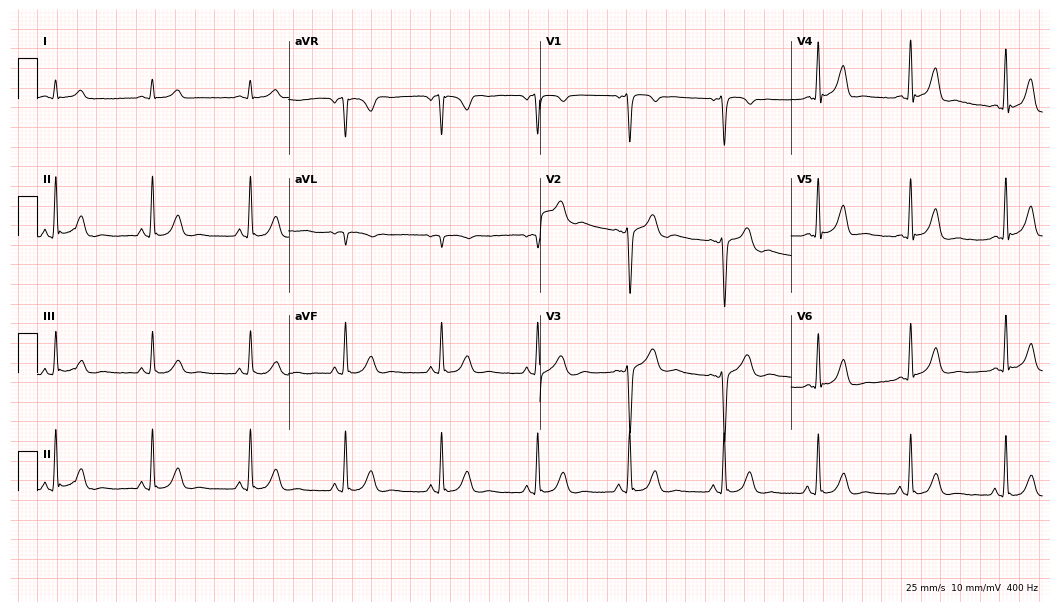
Resting 12-lead electrocardiogram (10.2-second recording at 400 Hz). Patient: a male, 44 years old. None of these six findings is recorded: first-degree AV block, right bundle branch block, left bundle branch block, sinus bradycardia, atrial fibrillation, sinus tachycardia. Other findings, if any, are not listed.